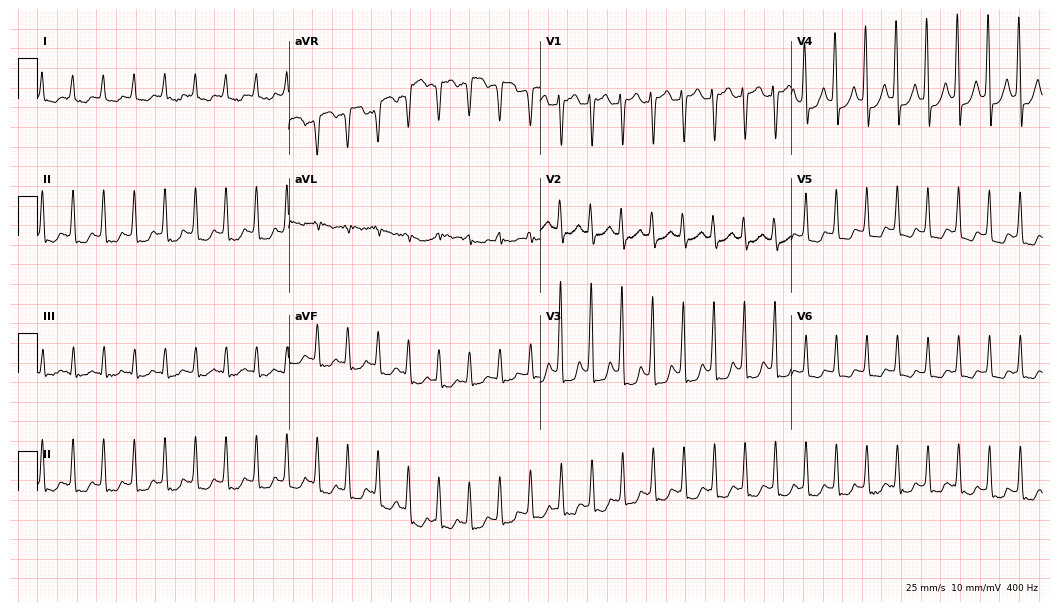
Standard 12-lead ECG recorded from a female patient, 64 years old (10.2-second recording at 400 Hz). The tracing shows sinus tachycardia (a sinus rate of 100 beats per minute or more).